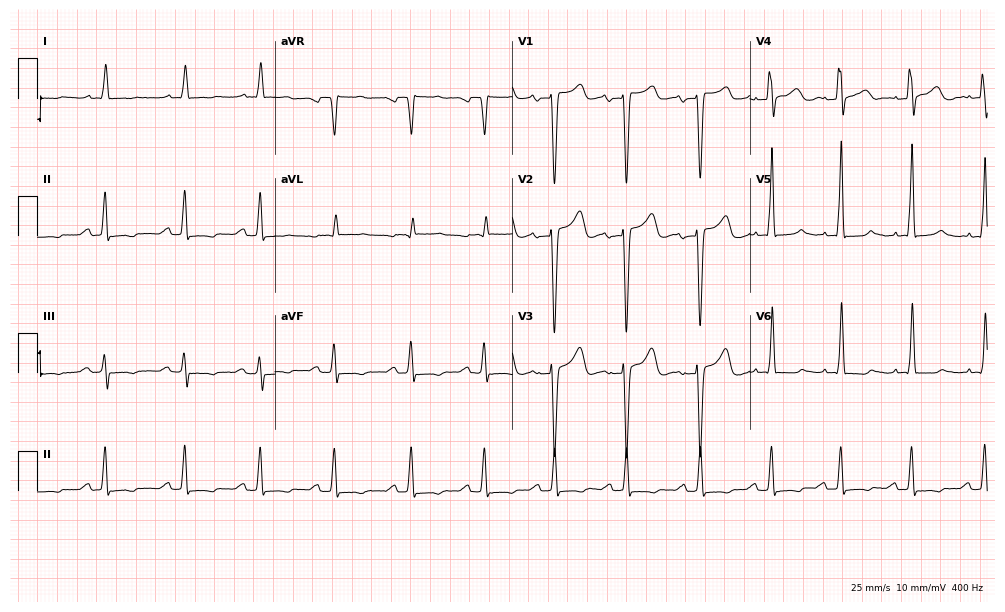
Electrocardiogram (9.7-second recording at 400 Hz), a 71-year-old male. Of the six screened findings (first-degree AV block, right bundle branch block, left bundle branch block, sinus bradycardia, atrial fibrillation, sinus tachycardia), none is recorded.